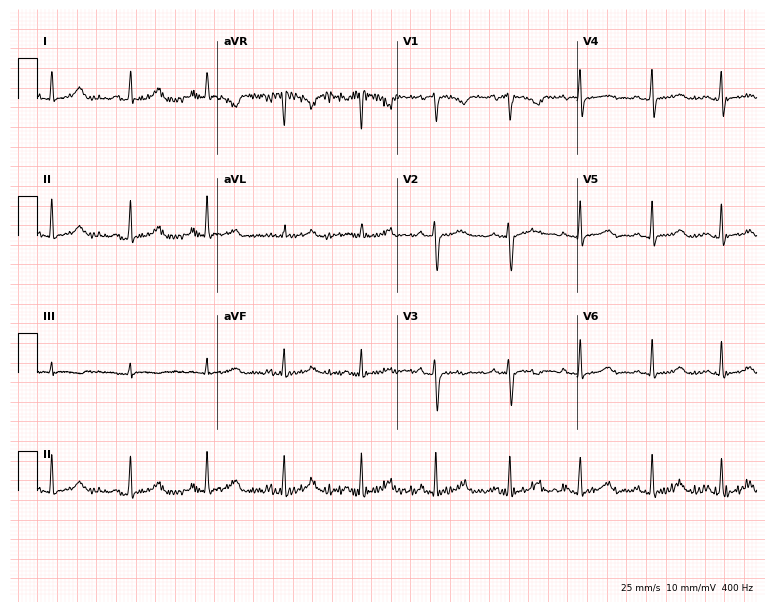
Resting 12-lead electrocardiogram. Patient: a 25-year-old female. Read as a normal ECG.